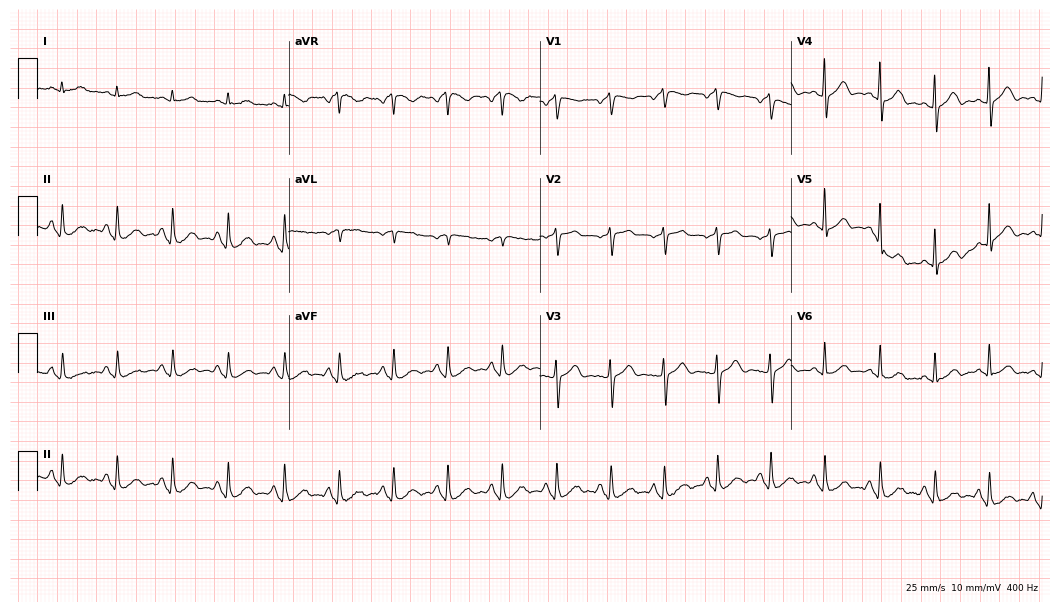
12-lead ECG (10.2-second recording at 400 Hz) from a 72-year-old female. Findings include sinus tachycardia (a sinus rate of 100 beats per minute or more).